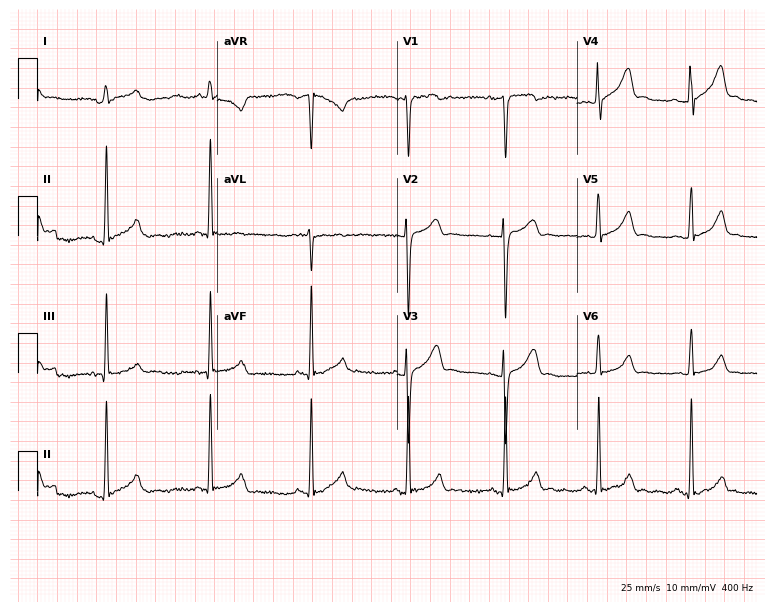
ECG (7.3-second recording at 400 Hz) — a 22-year-old male patient. Labelled as a normal ECG.